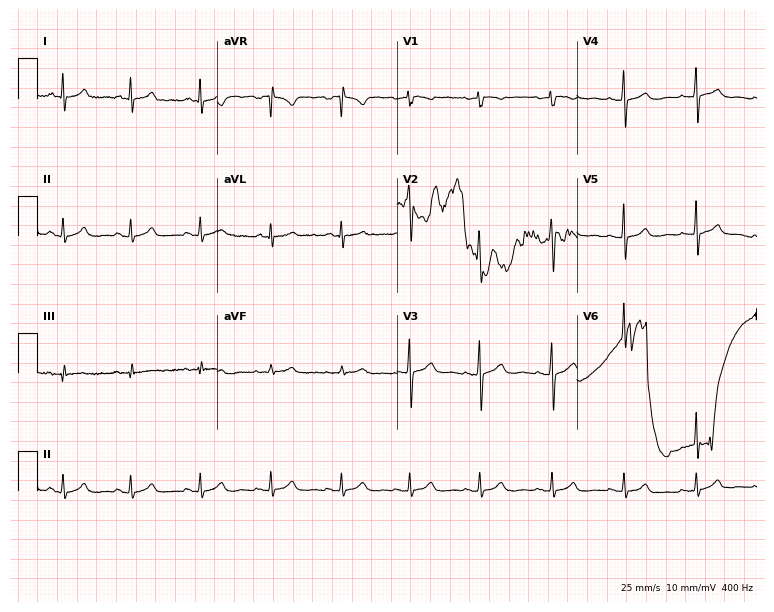
Electrocardiogram, a woman, 33 years old. Overall reading on record: normal ECG.